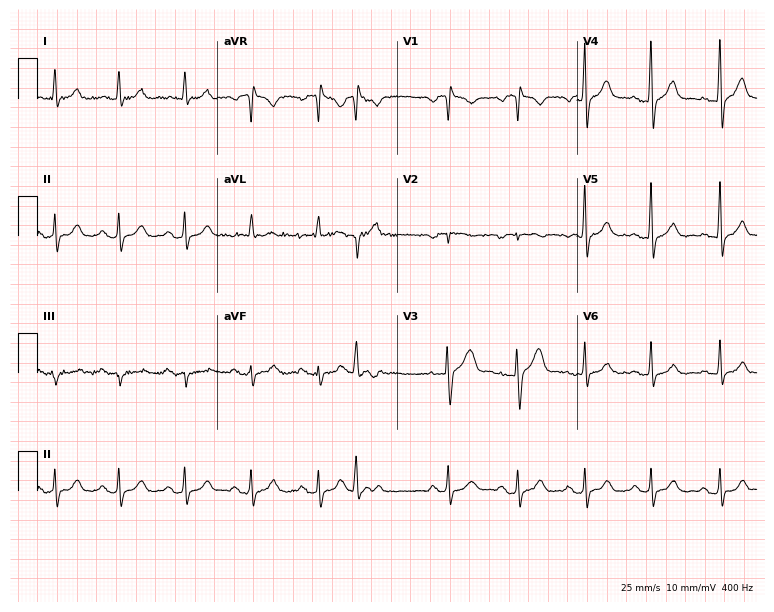
Standard 12-lead ECG recorded from a male, 66 years old. None of these six findings is recorded: first-degree AV block, right bundle branch block, left bundle branch block, sinus bradycardia, atrial fibrillation, sinus tachycardia. Only these six findings were labelled.